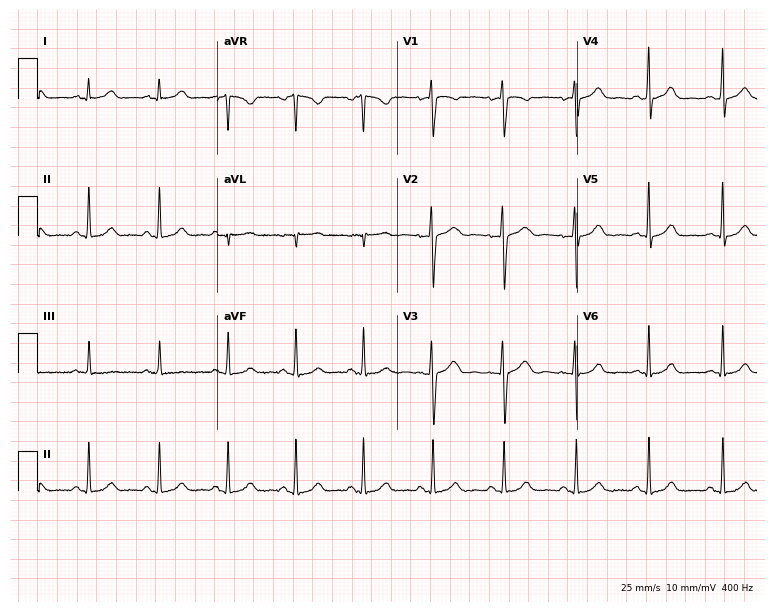
Electrocardiogram, a 36-year-old woman. Overall reading on record: normal ECG.